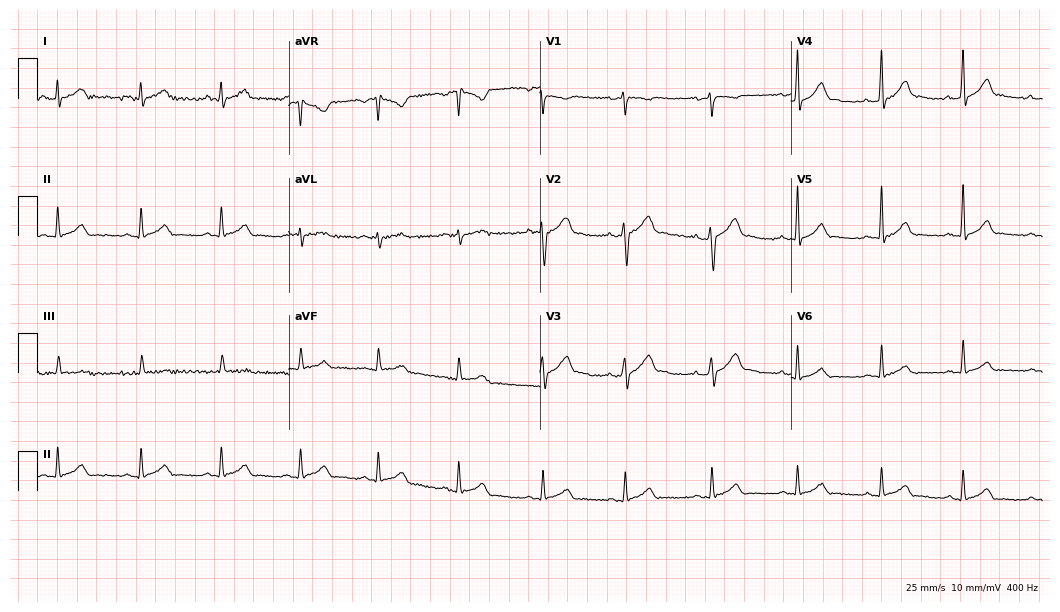
ECG — a male, 36 years old. Labelled as a normal ECG.